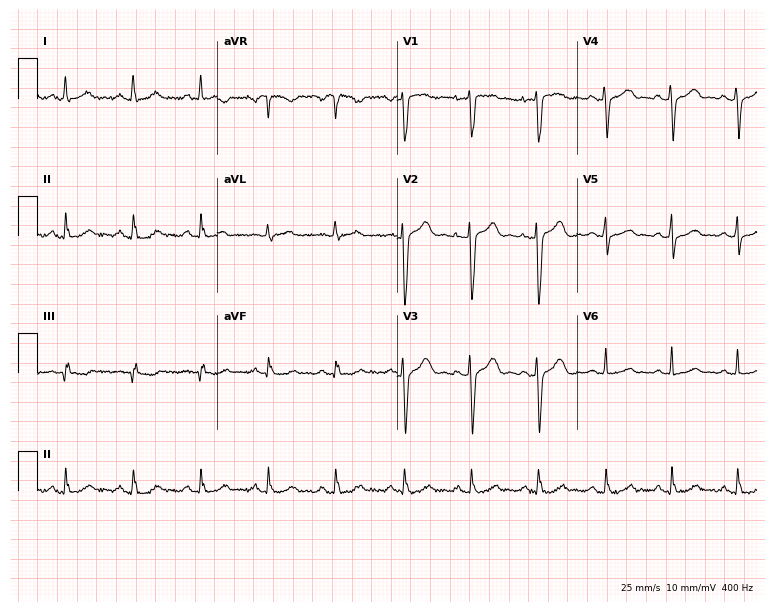
Electrocardiogram (7.3-second recording at 400 Hz), a female, 41 years old. Overall reading on record: normal ECG.